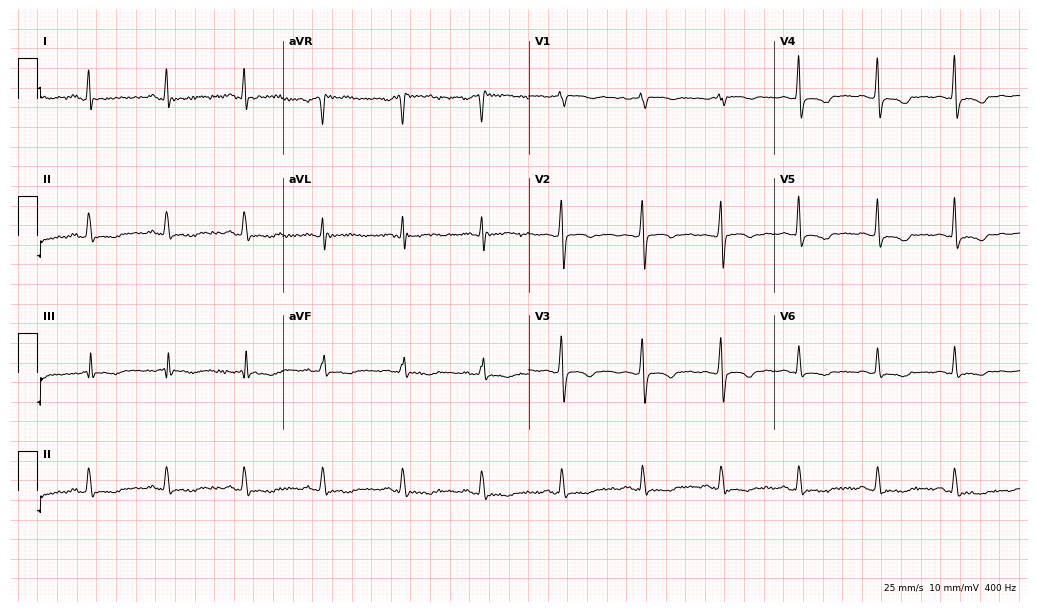
12-lead ECG (10-second recording at 400 Hz) from a female, 40 years old. Screened for six findings — first-degree AV block, right bundle branch block, left bundle branch block, sinus bradycardia, atrial fibrillation, sinus tachycardia — none is recorded. Findings outside these six are not listed.